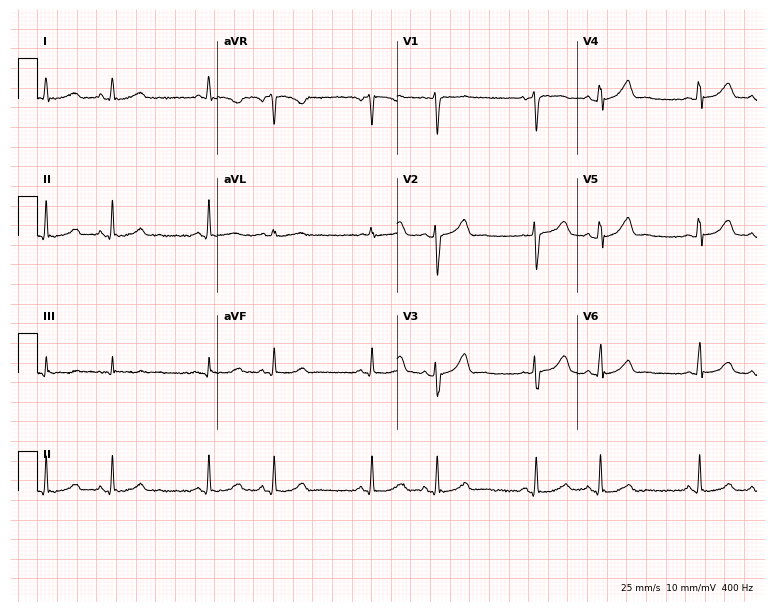
ECG — a female, 51 years old. Screened for six findings — first-degree AV block, right bundle branch block, left bundle branch block, sinus bradycardia, atrial fibrillation, sinus tachycardia — none is recorded. Only these six findings were labelled.